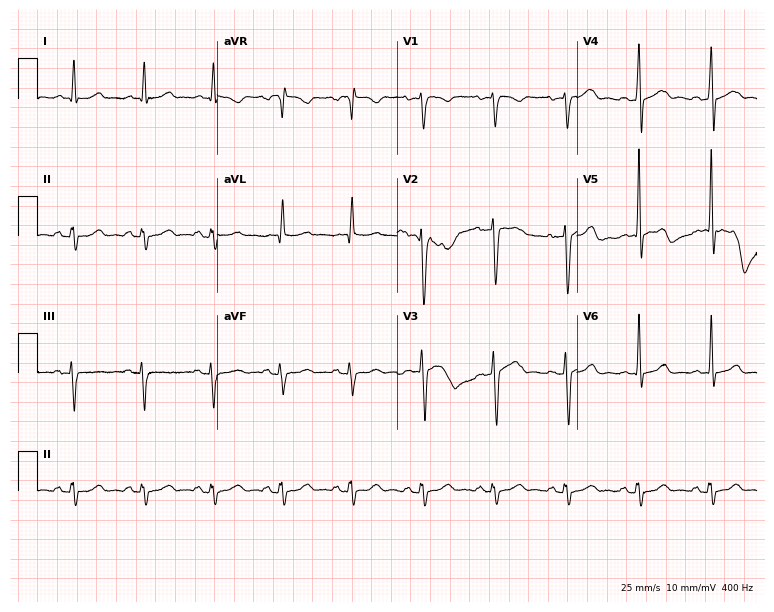
12-lead ECG (7.3-second recording at 400 Hz) from a man, 53 years old. Screened for six findings — first-degree AV block, right bundle branch block (RBBB), left bundle branch block (LBBB), sinus bradycardia, atrial fibrillation (AF), sinus tachycardia — none is recorded. Other findings, if any, are not listed.